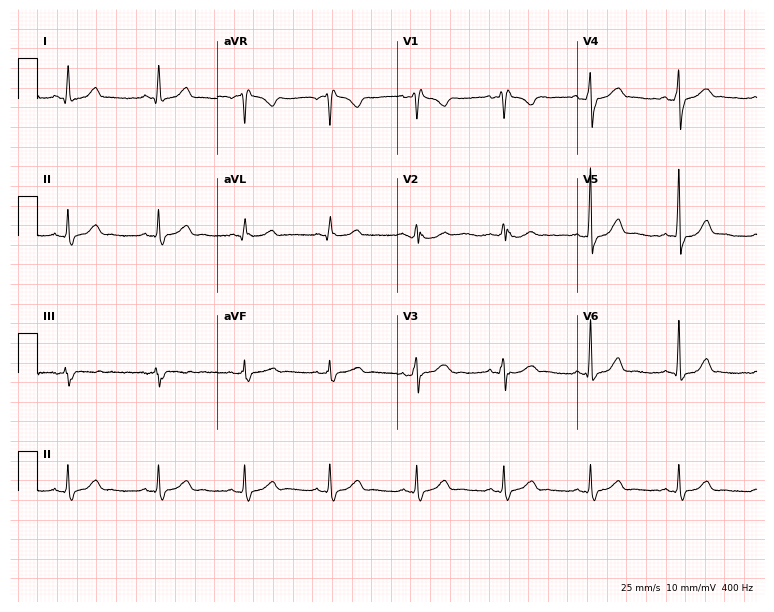
12-lead ECG (7.3-second recording at 400 Hz) from a 39-year-old female. Screened for six findings — first-degree AV block, right bundle branch block, left bundle branch block, sinus bradycardia, atrial fibrillation, sinus tachycardia — none is recorded. Other findings, if any, are not listed.